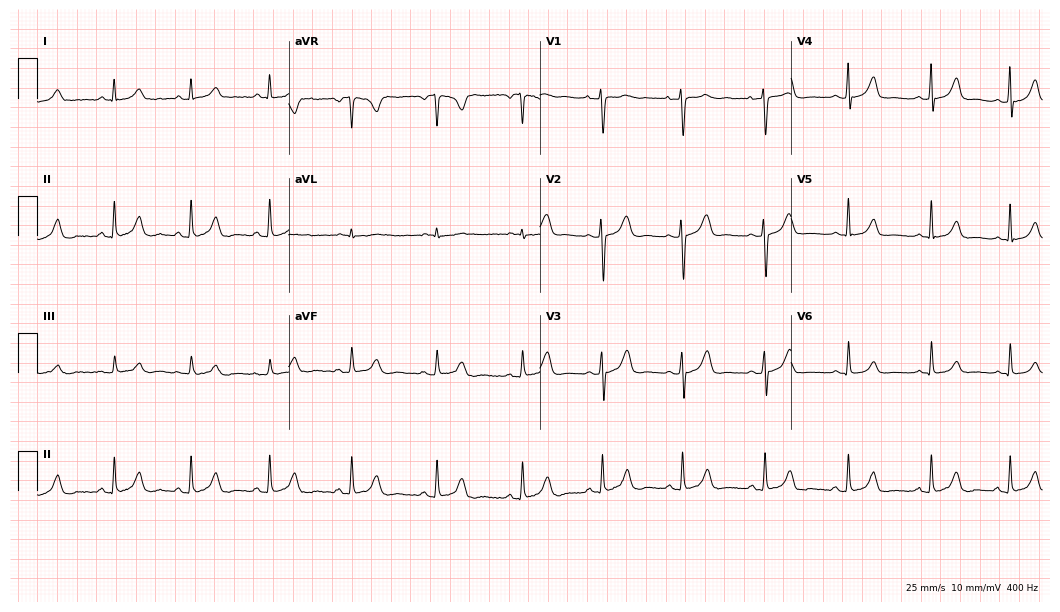
Electrocardiogram (10.2-second recording at 400 Hz), a 36-year-old female patient. Of the six screened findings (first-degree AV block, right bundle branch block, left bundle branch block, sinus bradycardia, atrial fibrillation, sinus tachycardia), none is recorded. Other findings, if any, are not listed.